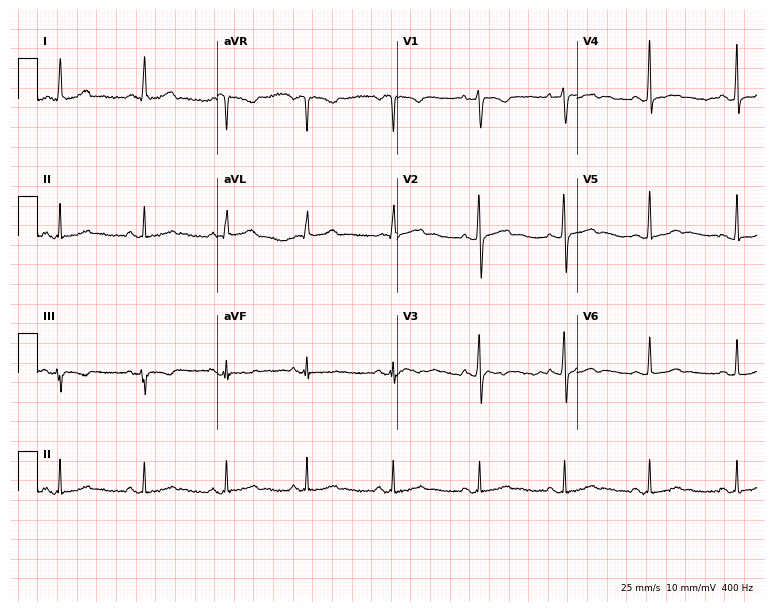
12-lead ECG from a 32-year-old female. No first-degree AV block, right bundle branch block, left bundle branch block, sinus bradycardia, atrial fibrillation or sinus tachycardia recorded for this tracing.